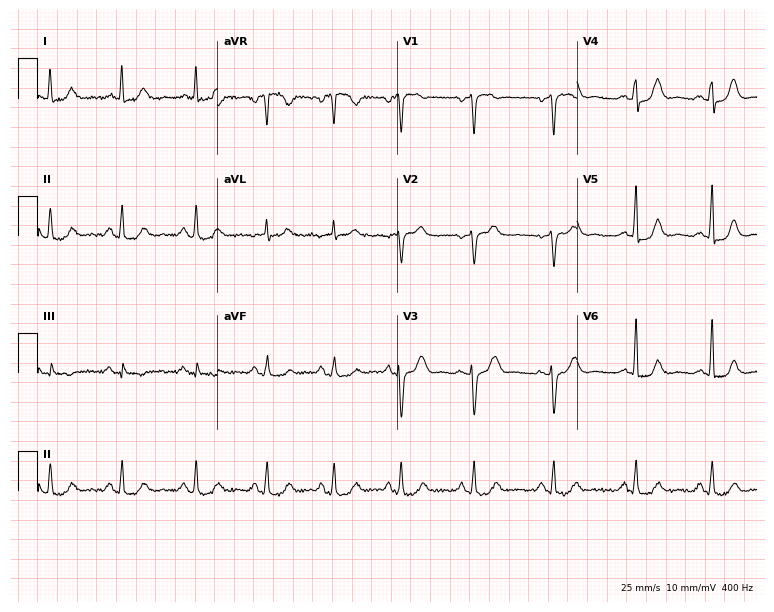
12-lead ECG from a female, 53 years old. Screened for six findings — first-degree AV block, right bundle branch block, left bundle branch block, sinus bradycardia, atrial fibrillation, sinus tachycardia — none is recorded. Findings outside these six are not listed.